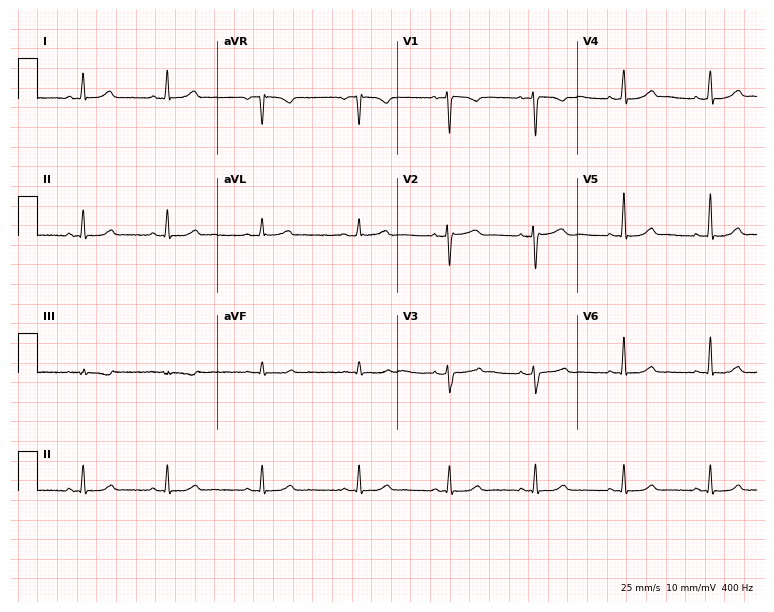
12-lead ECG from a 32-year-old female. Screened for six findings — first-degree AV block, right bundle branch block, left bundle branch block, sinus bradycardia, atrial fibrillation, sinus tachycardia — none is recorded. Only these six findings were labelled.